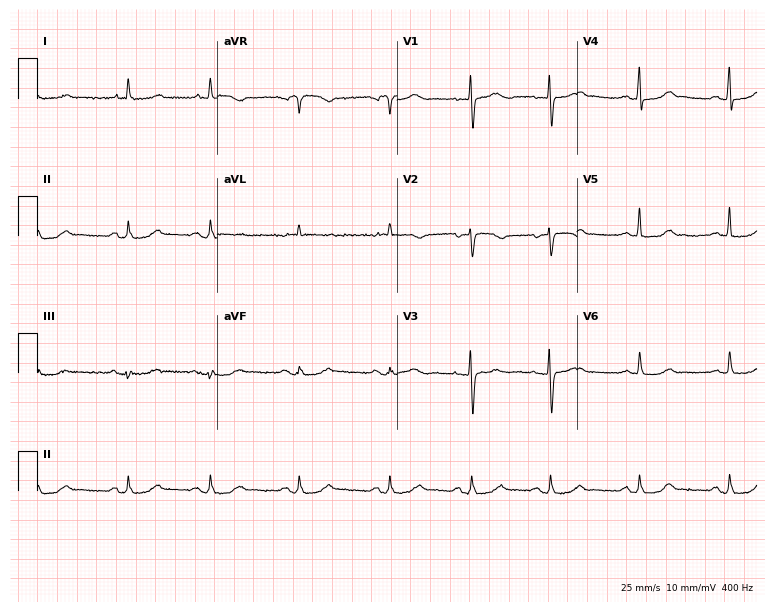
Standard 12-lead ECG recorded from a 79-year-old male (7.3-second recording at 400 Hz). None of these six findings is recorded: first-degree AV block, right bundle branch block (RBBB), left bundle branch block (LBBB), sinus bradycardia, atrial fibrillation (AF), sinus tachycardia. Findings outside these six are not listed.